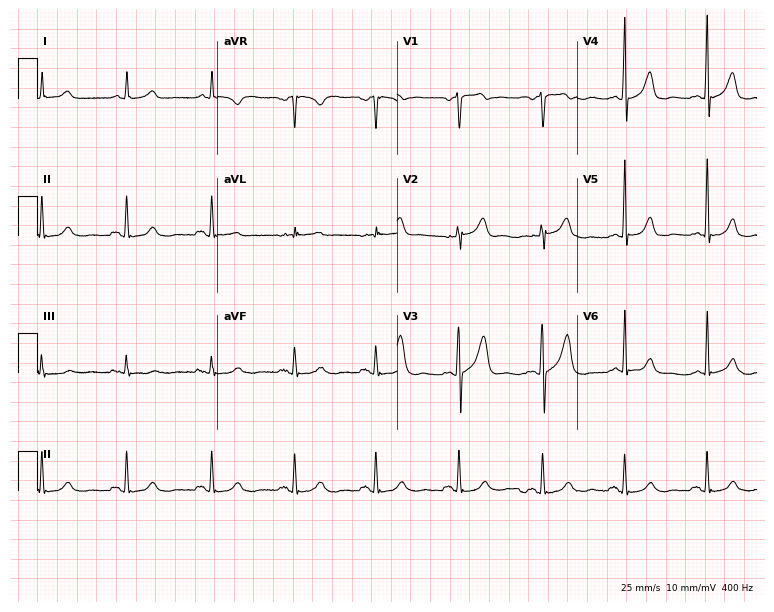
Resting 12-lead electrocardiogram. Patient: a 58-year-old male. Read as a normal ECG.